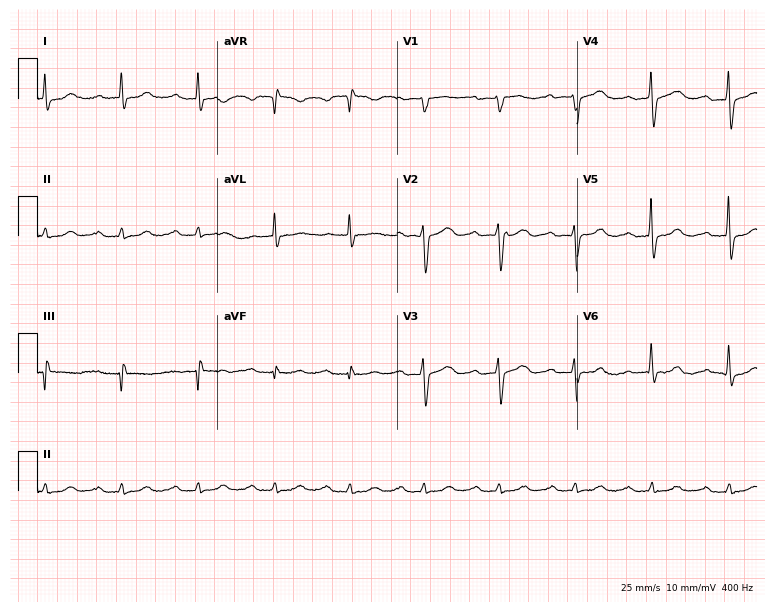
12-lead ECG from a 77-year-old male patient. Shows first-degree AV block.